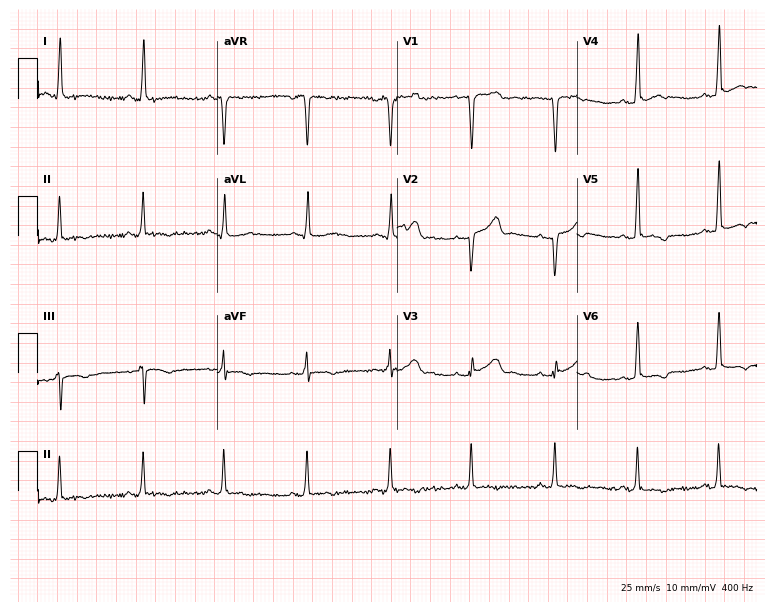
Standard 12-lead ECG recorded from a 36-year-old male patient. None of these six findings is recorded: first-degree AV block, right bundle branch block, left bundle branch block, sinus bradycardia, atrial fibrillation, sinus tachycardia. Findings outside these six are not listed.